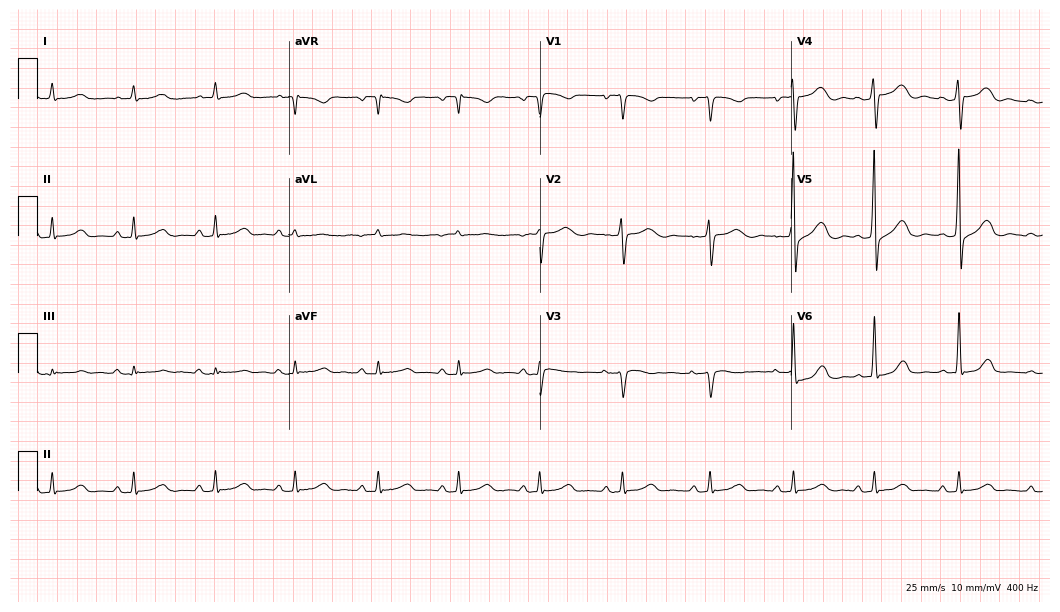
Resting 12-lead electrocardiogram. Patient: a male, 29 years old. Read as a normal ECG.